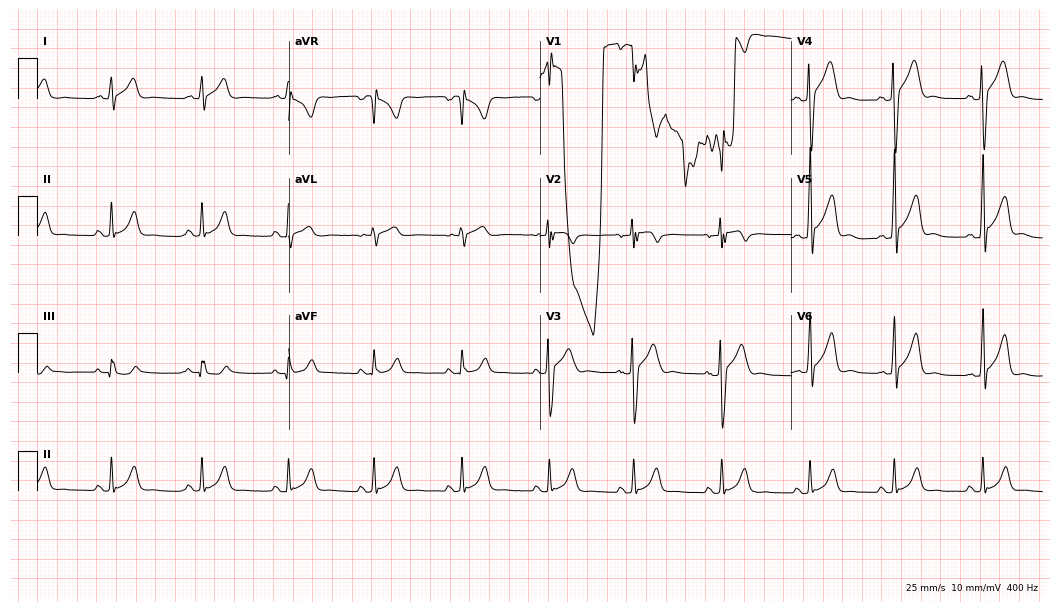
Standard 12-lead ECG recorded from a 25-year-old male patient. None of these six findings is recorded: first-degree AV block, right bundle branch block, left bundle branch block, sinus bradycardia, atrial fibrillation, sinus tachycardia.